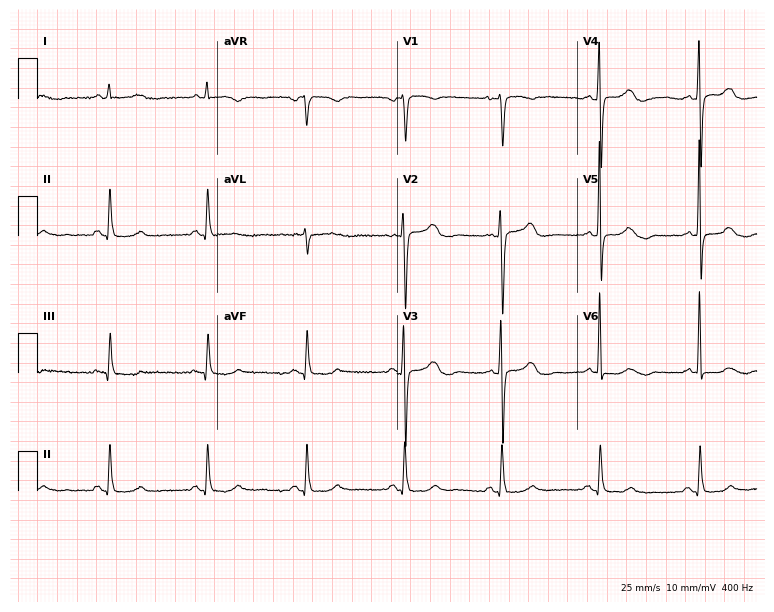
Standard 12-lead ECG recorded from a 77-year-old female. None of these six findings is recorded: first-degree AV block, right bundle branch block, left bundle branch block, sinus bradycardia, atrial fibrillation, sinus tachycardia. Other findings, if any, are not listed.